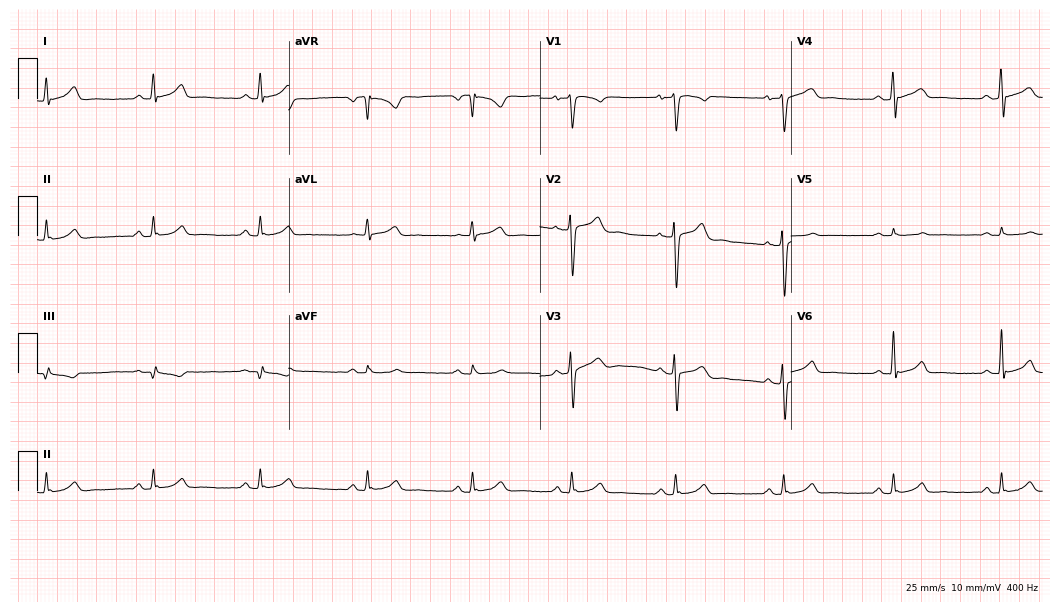
ECG (10.2-second recording at 400 Hz) — a male patient, 37 years old. Labelled as a normal ECG.